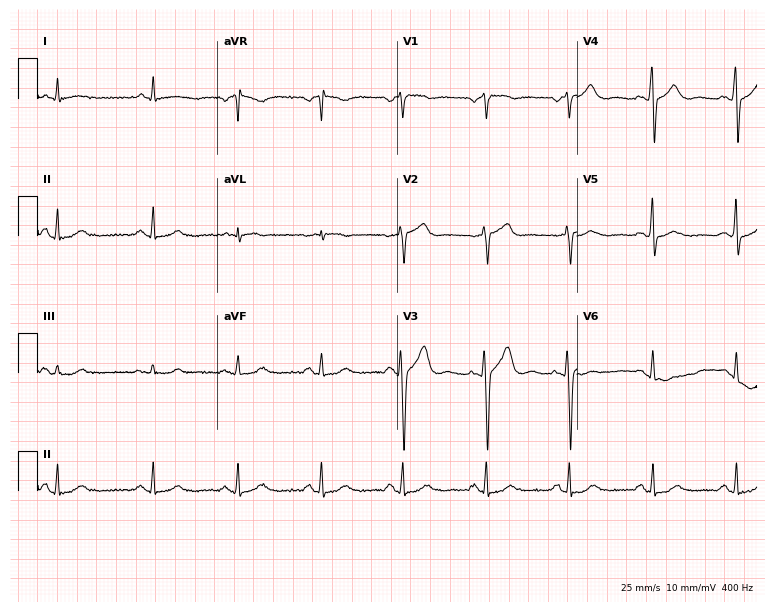
ECG (7.3-second recording at 400 Hz) — a man, 70 years old. Screened for six findings — first-degree AV block, right bundle branch block, left bundle branch block, sinus bradycardia, atrial fibrillation, sinus tachycardia — none is recorded. Findings outside these six are not listed.